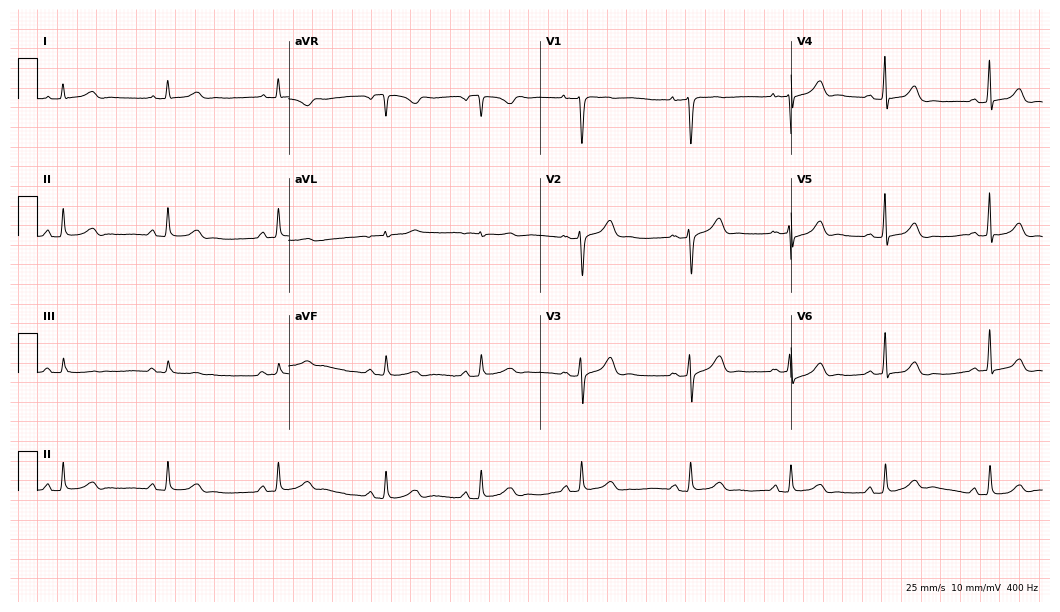
12-lead ECG (10.2-second recording at 400 Hz) from a female, 34 years old. Screened for six findings — first-degree AV block, right bundle branch block, left bundle branch block, sinus bradycardia, atrial fibrillation, sinus tachycardia — none is recorded.